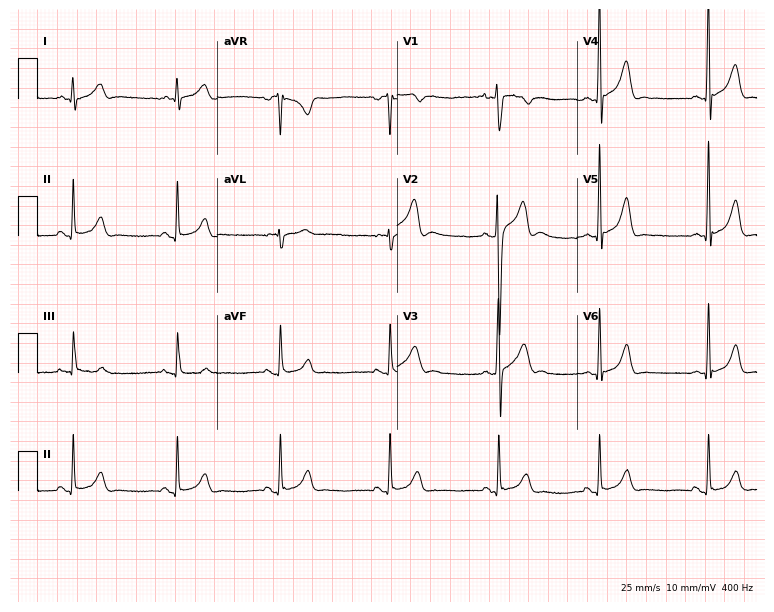
12-lead ECG from a man, 19 years old (7.3-second recording at 400 Hz). Recorded interpretation: within normal limits.